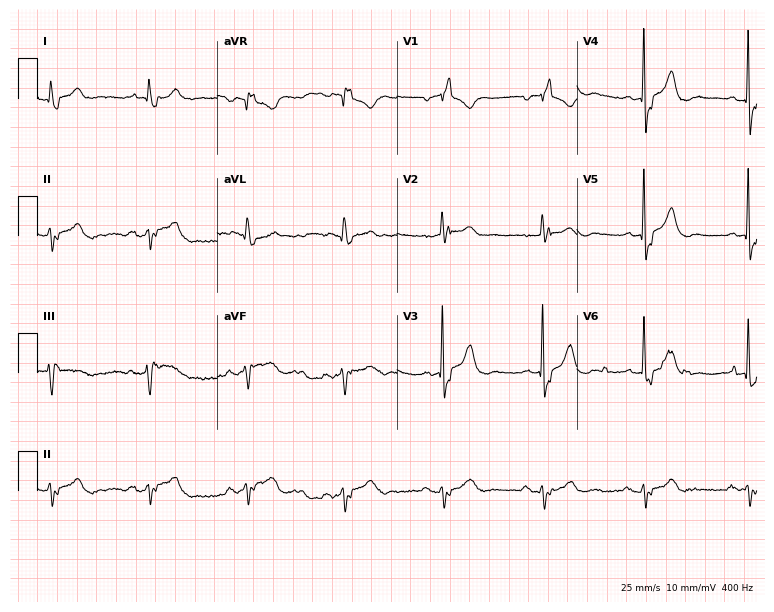
12-lead ECG (7.3-second recording at 400 Hz) from an 83-year-old man. Findings include right bundle branch block.